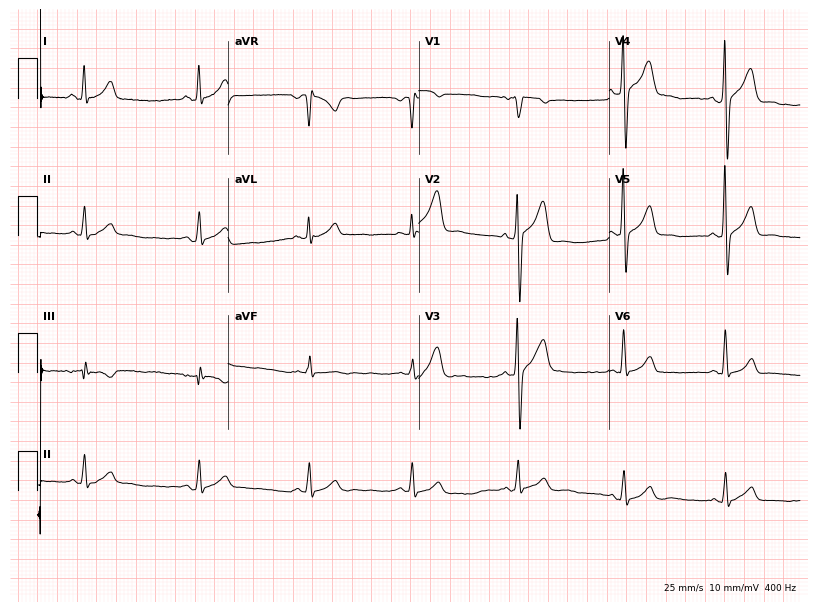
Resting 12-lead electrocardiogram (7.8-second recording at 400 Hz). Patient: a male, 50 years old. Read as a normal ECG.